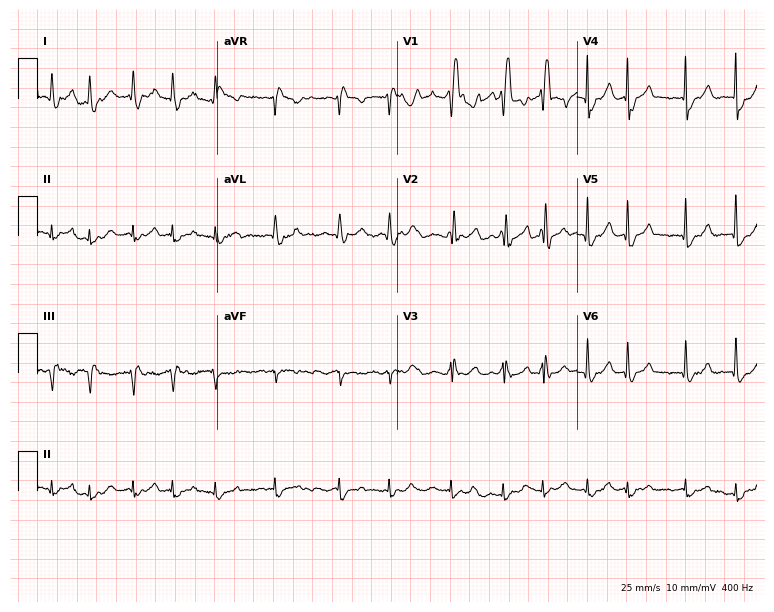
12-lead ECG from a 77-year-old female patient. No first-degree AV block, right bundle branch block, left bundle branch block, sinus bradycardia, atrial fibrillation or sinus tachycardia recorded for this tracing. Other findings, if any, are not listed.